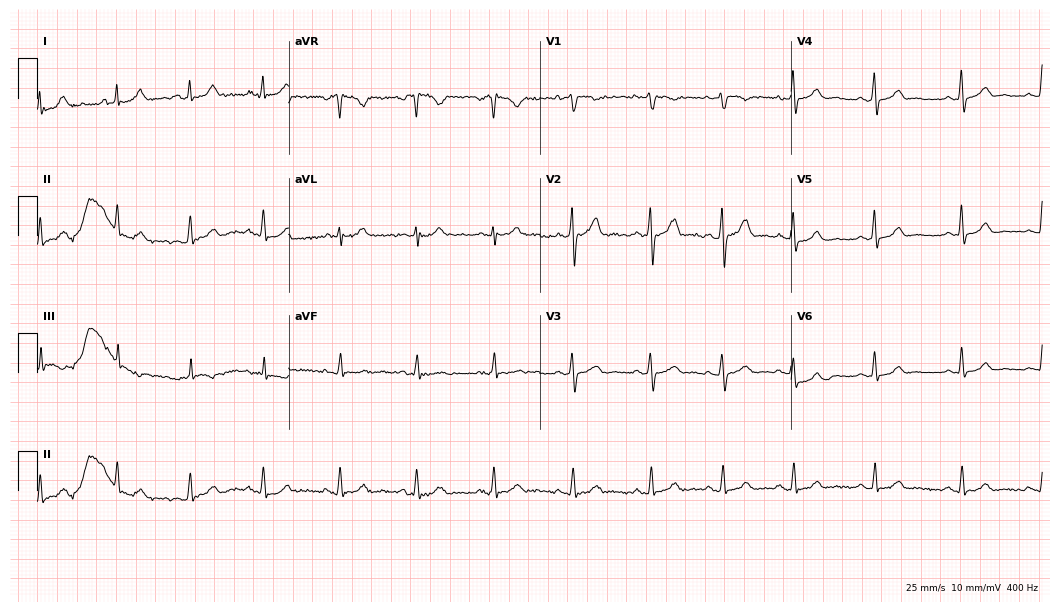
Standard 12-lead ECG recorded from a 32-year-old female. Read as a normal ECG.